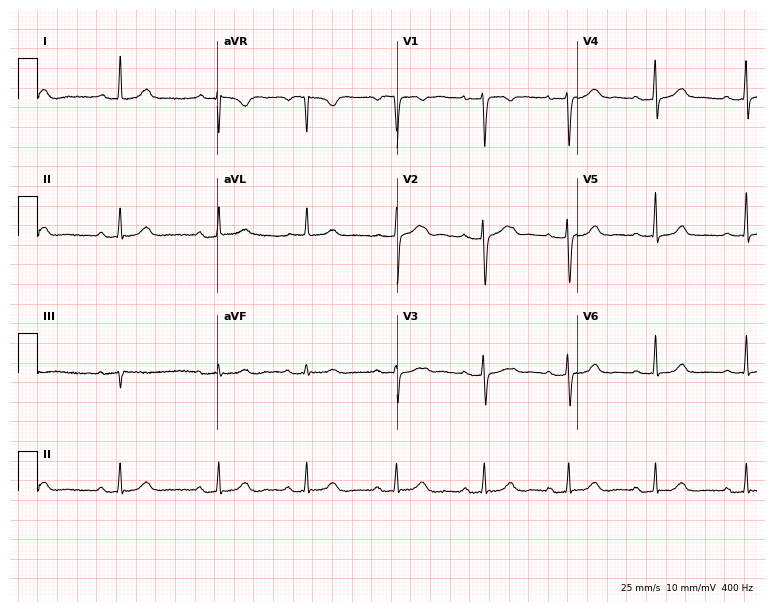
Resting 12-lead electrocardiogram. Patient: a 32-year-old female. None of these six findings is recorded: first-degree AV block, right bundle branch block, left bundle branch block, sinus bradycardia, atrial fibrillation, sinus tachycardia.